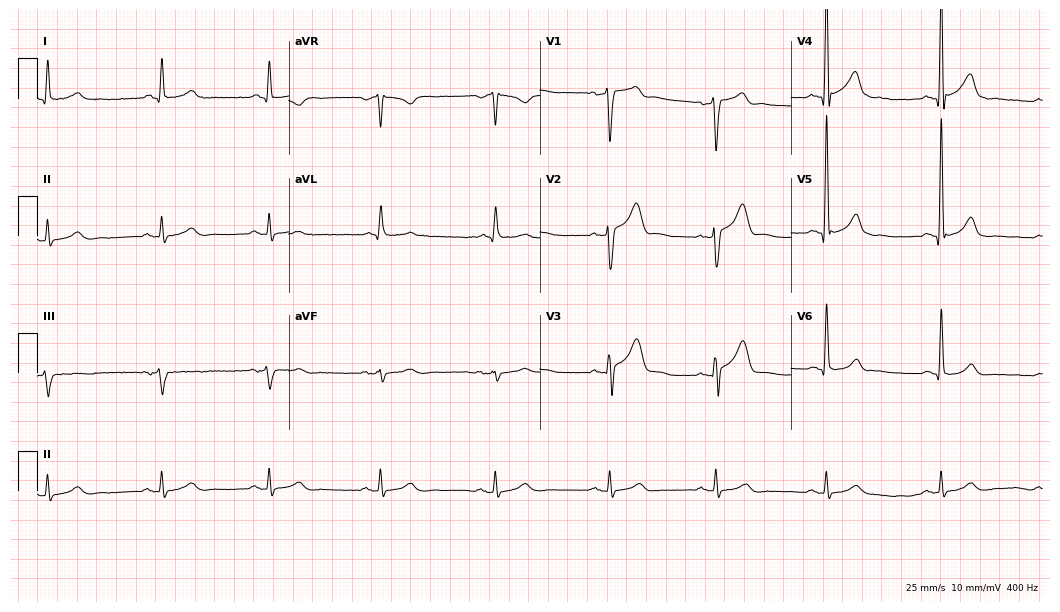
Electrocardiogram, a 52-year-old man. Overall reading on record: normal ECG.